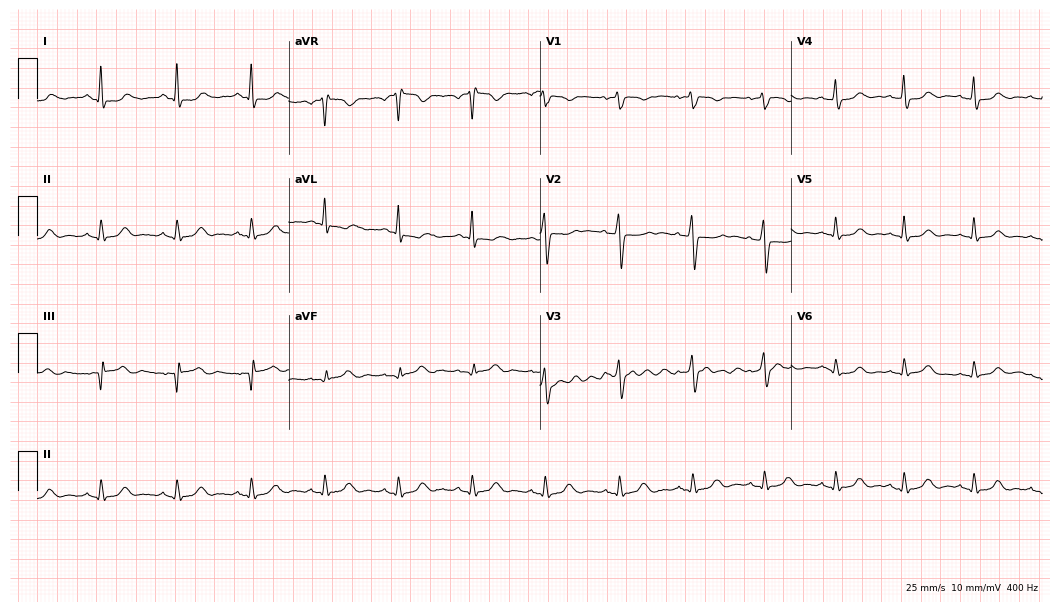
12-lead ECG (10.2-second recording at 400 Hz) from a 38-year-old female. Screened for six findings — first-degree AV block, right bundle branch block, left bundle branch block, sinus bradycardia, atrial fibrillation, sinus tachycardia — none is recorded.